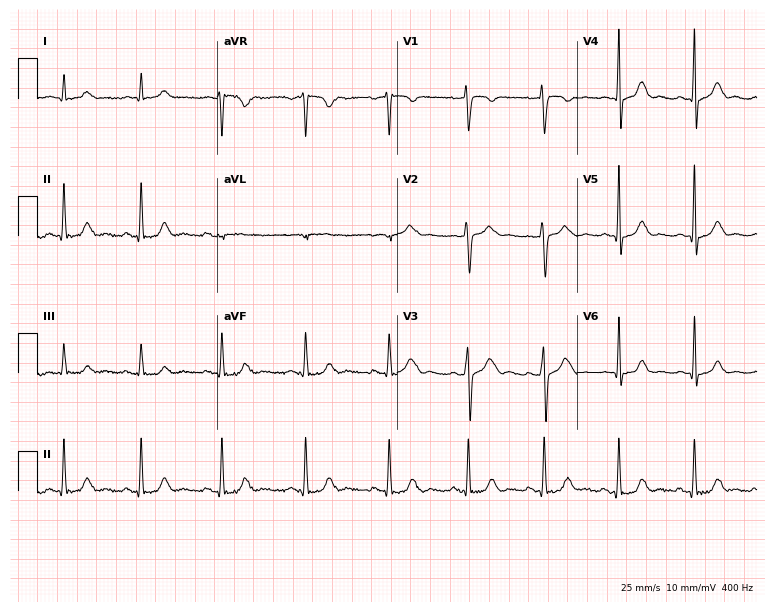
12-lead ECG from a male, 48 years old (7.3-second recording at 400 Hz). No first-degree AV block, right bundle branch block, left bundle branch block, sinus bradycardia, atrial fibrillation or sinus tachycardia recorded for this tracing.